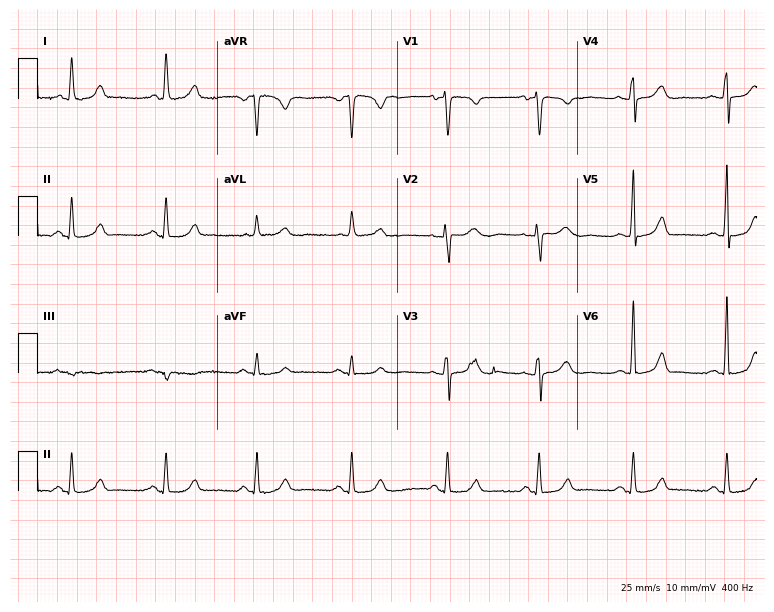
12-lead ECG (7.3-second recording at 400 Hz) from a female, 61 years old. Screened for six findings — first-degree AV block, right bundle branch block, left bundle branch block, sinus bradycardia, atrial fibrillation, sinus tachycardia — none is recorded.